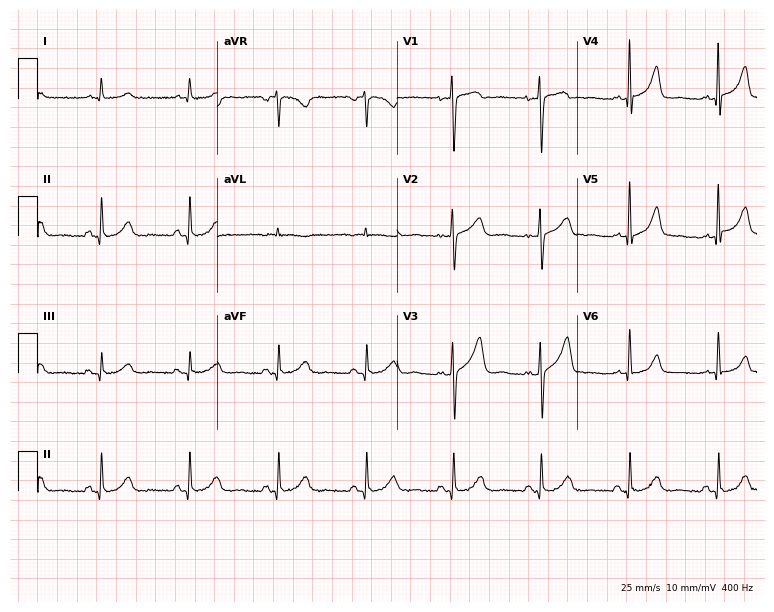
12-lead ECG (7.3-second recording at 400 Hz) from a 46-year-old female patient. Screened for six findings — first-degree AV block, right bundle branch block, left bundle branch block, sinus bradycardia, atrial fibrillation, sinus tachycardia — none is recorded. Findings outside these six are not listed.